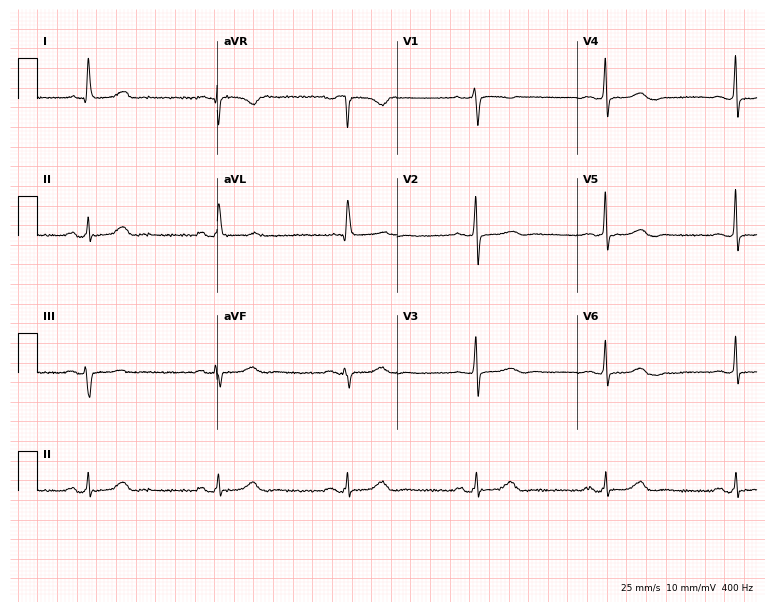
Standard 12-lead ECG recorded from a 65-year-old female. Read as a normal ECG.